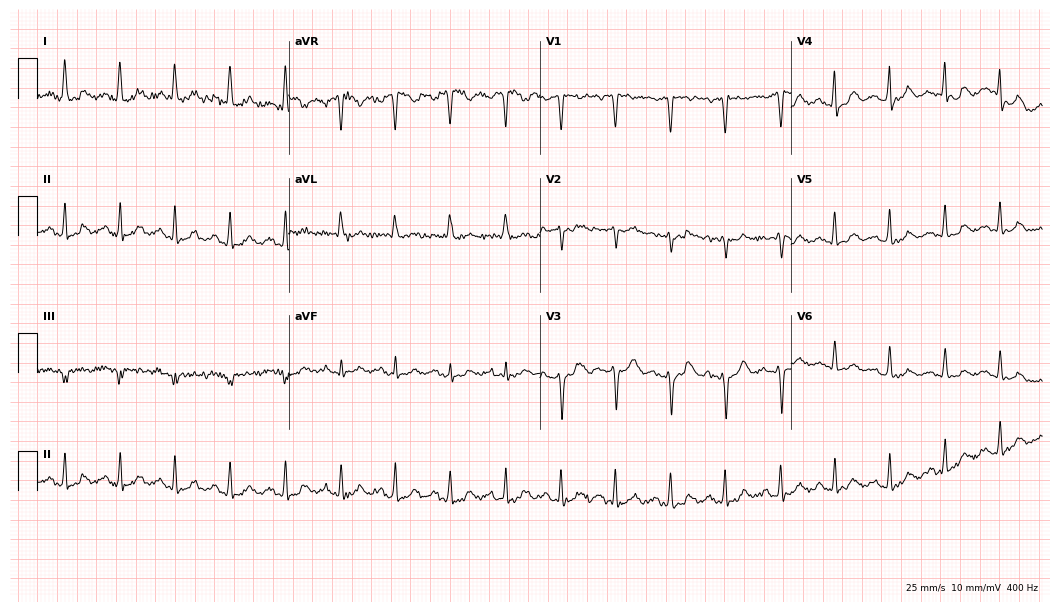
12-lead ECG from a female patient, 54 years old. Screened for six findings — first-degree AV block, right bundle branch block, left bundle branch block, sinus bradycardia, atrial fibrillation, sinus tachycardia — none is recorded.